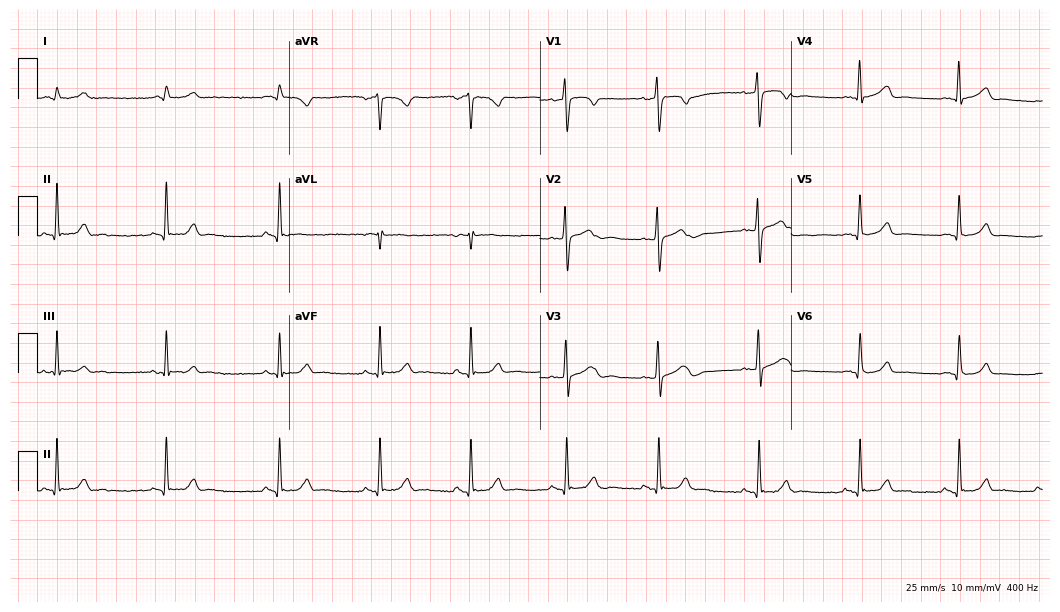
12-lead ECG from a male, 26 years old. Labelled as a normal ECG.